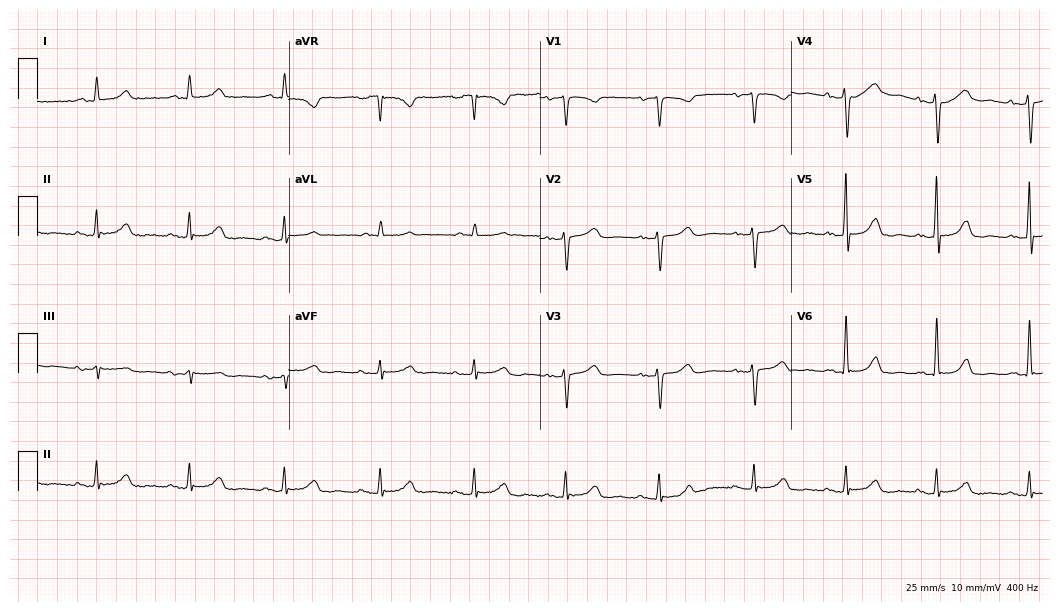
Standard 12-lead ECG recorded from a 65-year-old female patient. Read as a normal ECG.